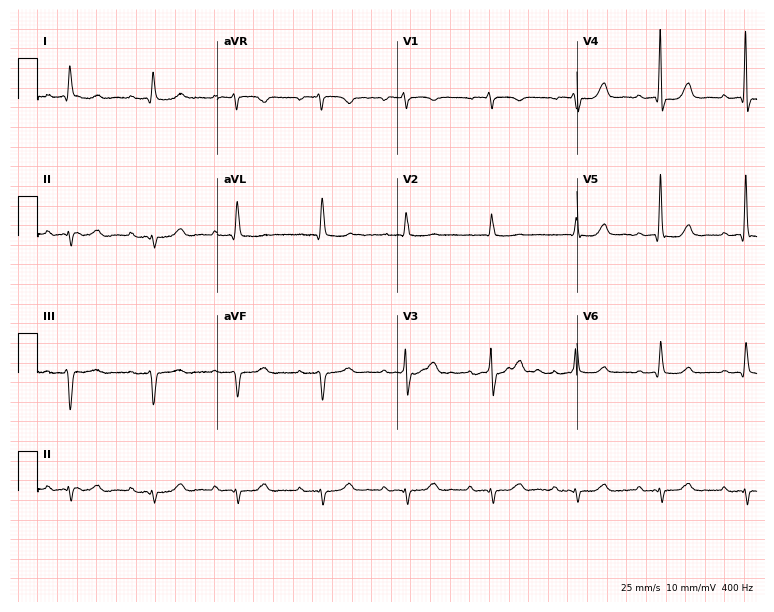
Resting 12-lead electrocardiogram. Patient: an 83-year-old man. Read as a normal ECG.